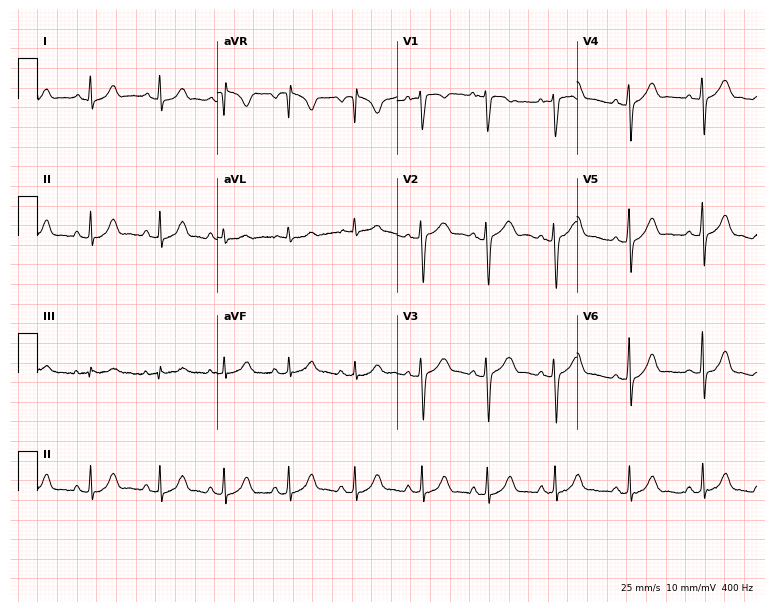
Resting 12-lead electrocardiogram (7.3-second recording at 400 Hz). Patient: a 28-year-old woman. None of these six findings is recorded: first-degree AV block, right bundle branch block, left bundle branch block, sinus bradycardia, atrial fibrillation, sinus tachycardia.